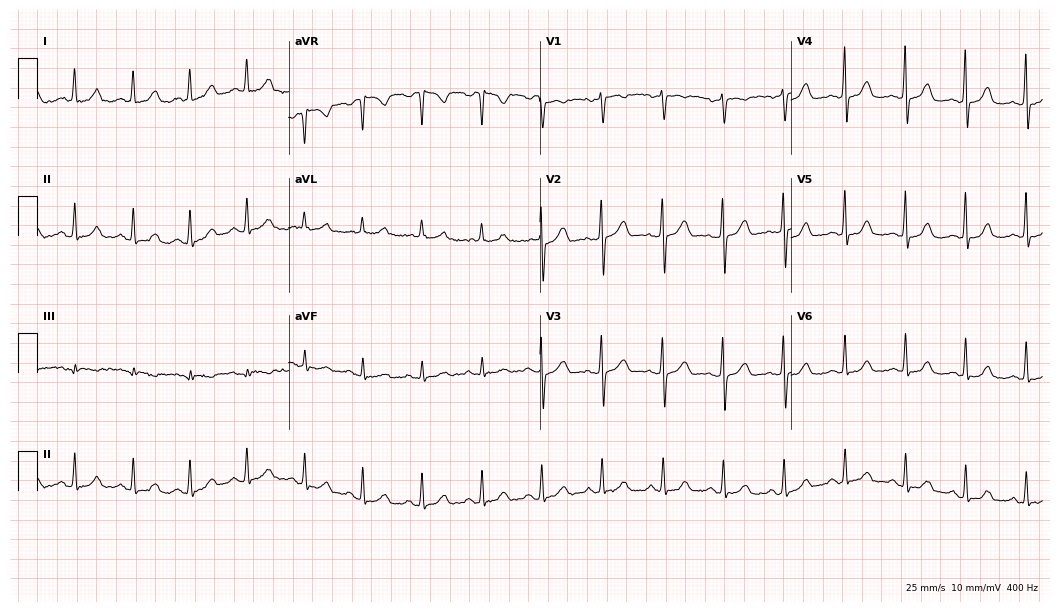
Electrocardiogram (10.2-second recording at 400 Hz), a 44-year-old woman. Overall reading on record: normal ECG.